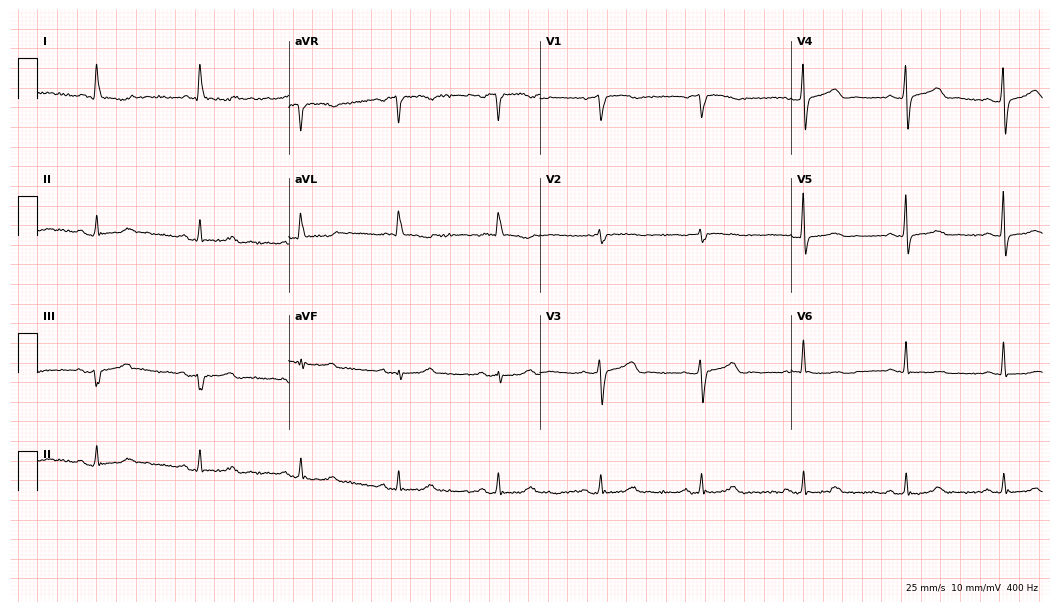
ECG (10.2-second recording at 400 Hz) — a 67-year-old female. Screened for six findings — first-degree AV block, right bundle branch block (RBBB), left bundle branch block (LBBB), sinus bradycardia, atrial fibrillation (AF), sinus tachycardia — none is recorded. Findings outside these six are not listed.